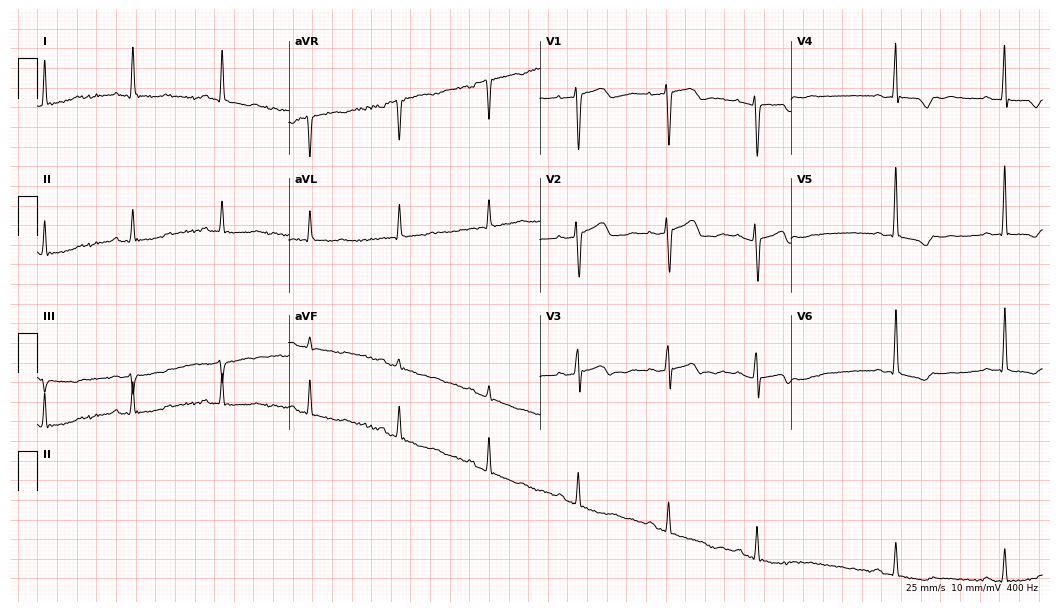
12-lead ECG from a woman, 65 years old. No first-degree AV block, right bundle branch block, left bundle branch block, sinus bradycardia, atrial fibrillation or sinus tachycardia recorded for this tracing. Findings outside these six are not listed.